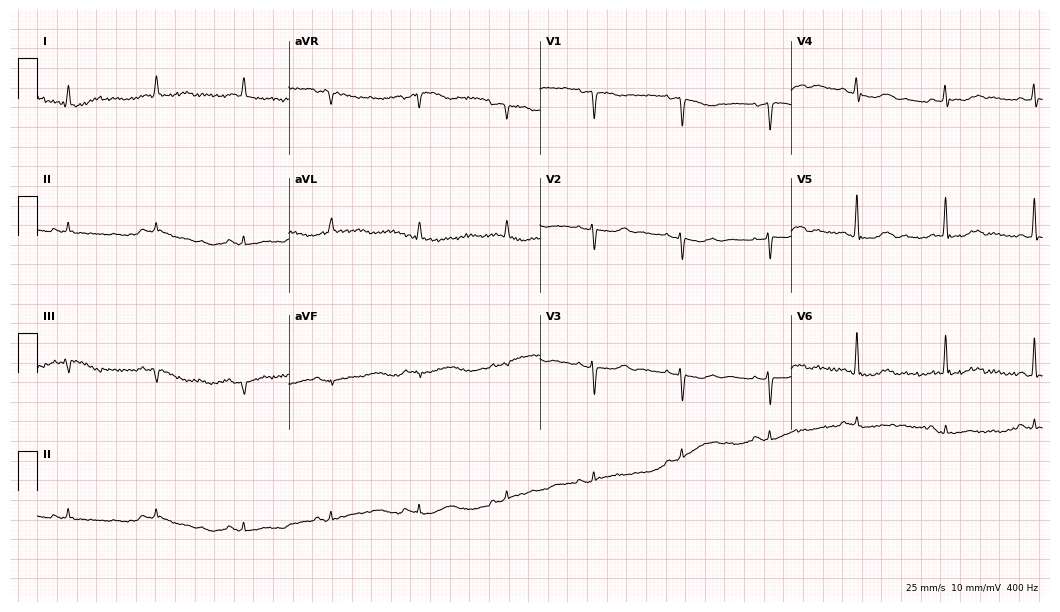
ECG (10.2-second recording at 400 Hz) — a 67-year-old female. Screened for six findings — first-degree AV block, right bundle branch block, left bundle branch block, sinus bradycardia, atrial fibrillation, sinus tachycardia — none is recorded.